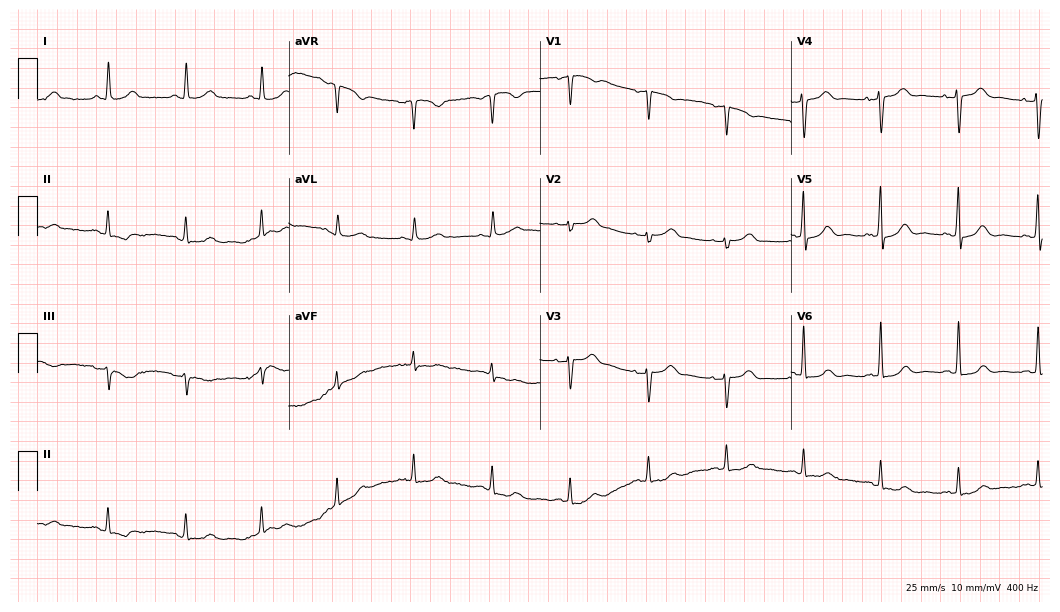
ECG (10.2-second recording at 400 Hz) — a 67-year-old female. Labelled as a normal ECG.